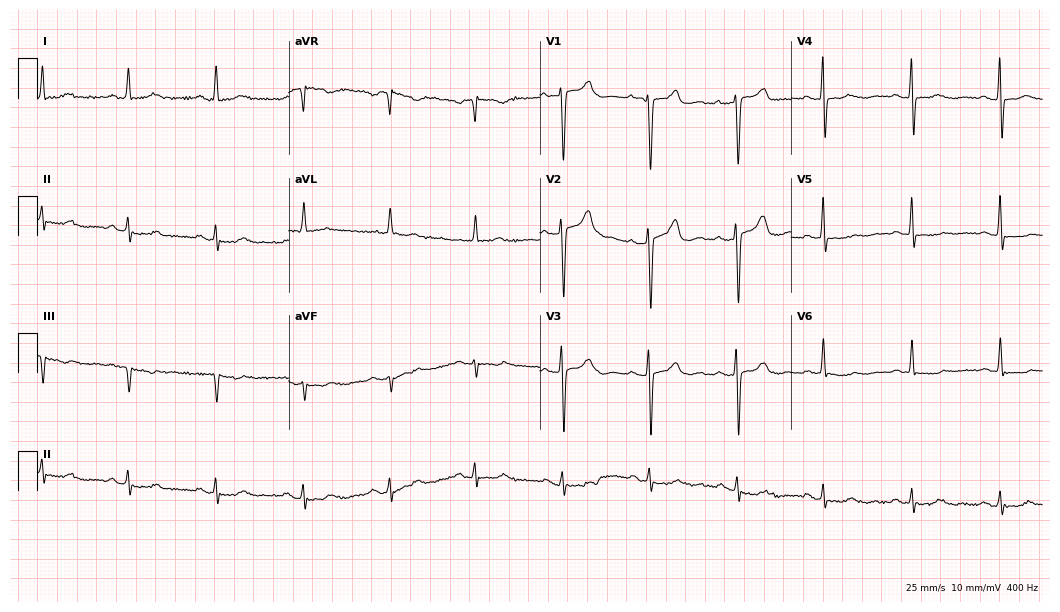
ECG (10.2-second recording at 400 Hz) — a woman, 57 years old. Screened for six findings — first-degree AV block, right bundle branch block (RBBB), left bundle branch block (LBBB), sinus bradycardia, atrial fibrillation (AF), sinus tachycardia — none is recorded. Findings outside these six are not listed.